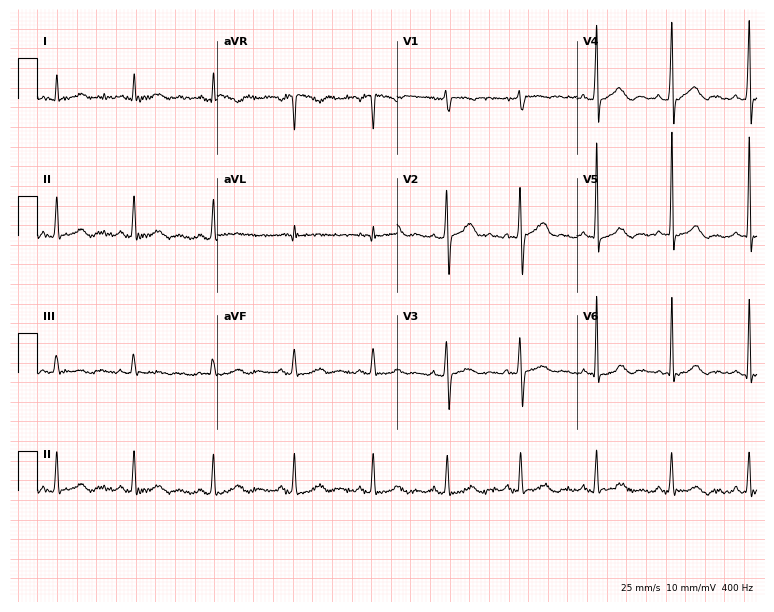
Electrocardiogram, a male, 56 years old. Overall reading on record: normal ECG.